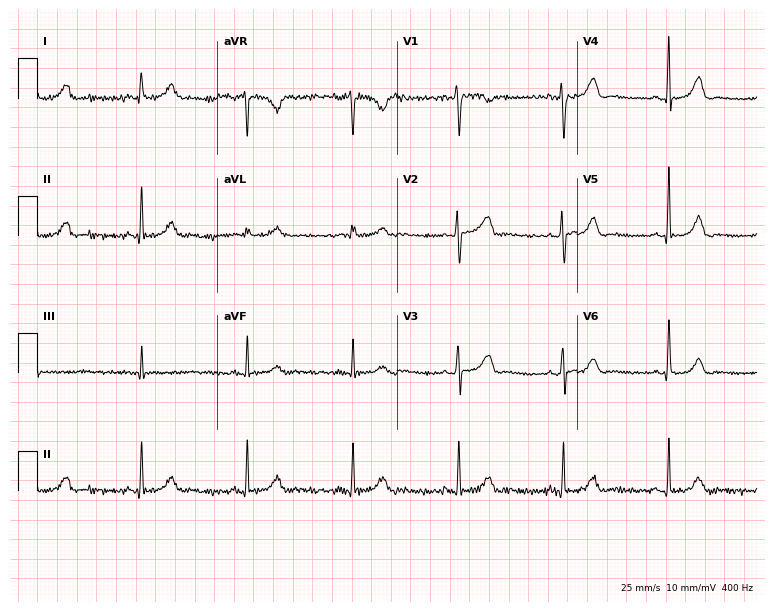
Electrocardiogram (7.3-second recording at 400 Hz), a 47-year-old female. Overall reading on record: normal ECG.